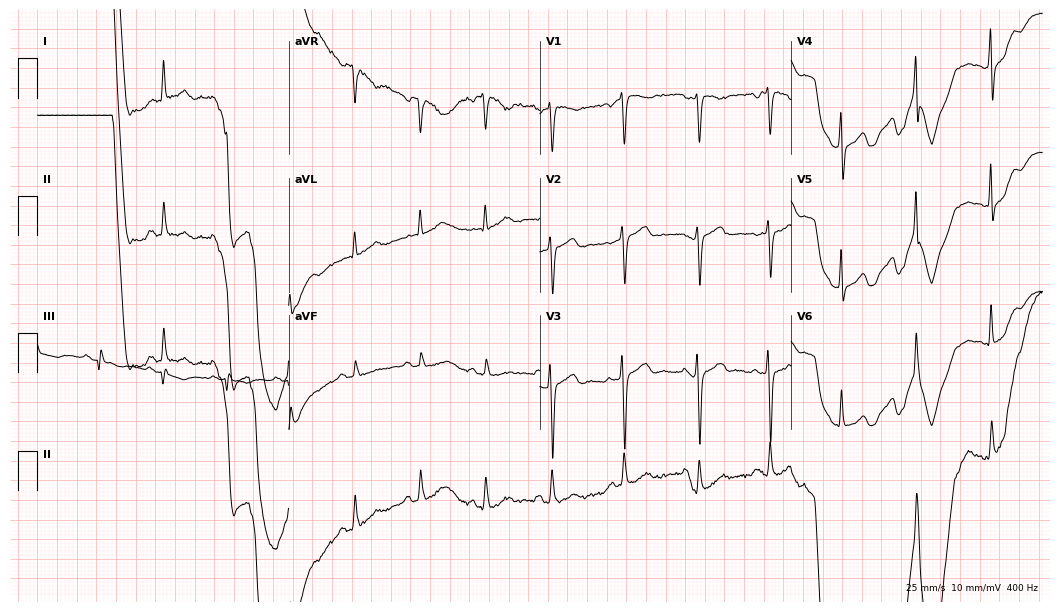
ECG (10.2-second recording at 400 Hz) — a woman, 43 years old. Labelled as a normal ECG.